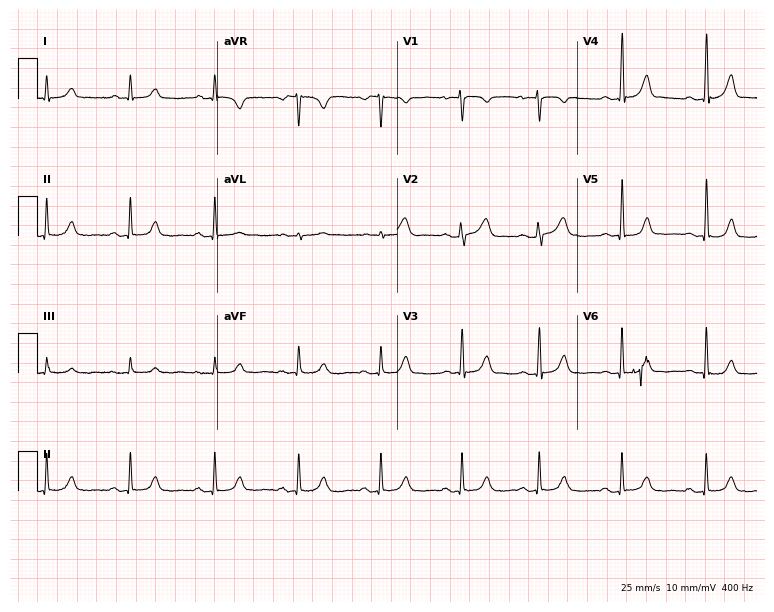
Standard 12-lead ECG recorded from a female, 41 years old. None of these six findings is recorded: first-degree AV block, right bundle branch block, left bundle branch block, sinus bradycardia, atrial fibrillation, sinus tachycardia. Other findings, if any, are not listed.